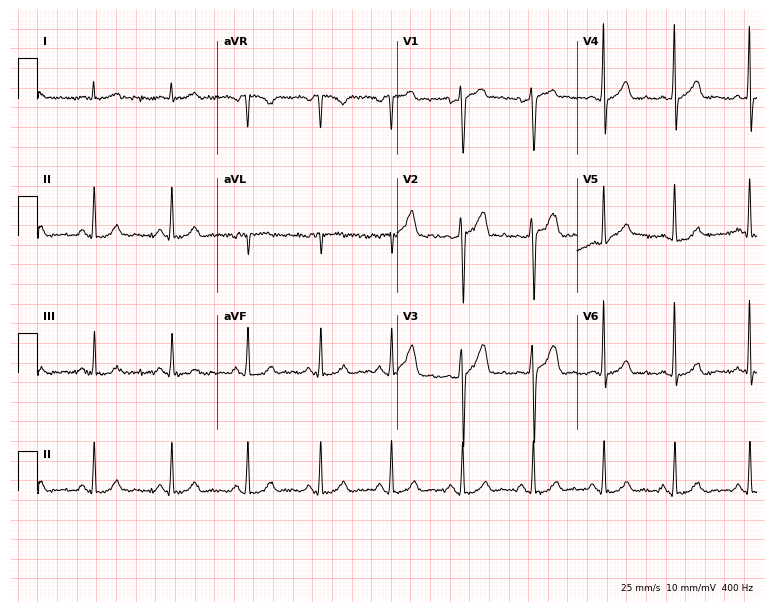
Resting 12-lead electrocardiogram (7.3-second recording at 400 Hz). Patient: a male, 44 years old. None of these six findings is recorded: first-degree AV block, right bundle branch block (RBBB), left bundle branch block (LBBB), sinus bradycardia, atrial fibrillation (AF), sinus tachycardia. Findings outside these six are not listed.